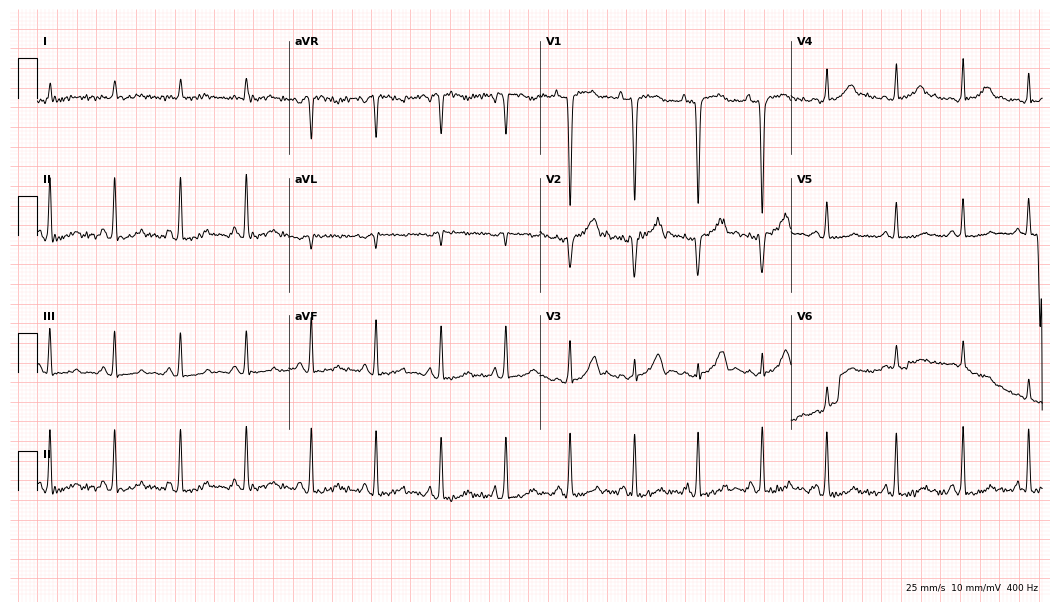
ECG — a man, 61 years old. Screened for six findings — first-degree AV block, right bundle branch block, left bundle branch block, sinus bradycardia, atrial fibrillation, sinus tachycardia — none is recorded. Findings outside these six are not listed.